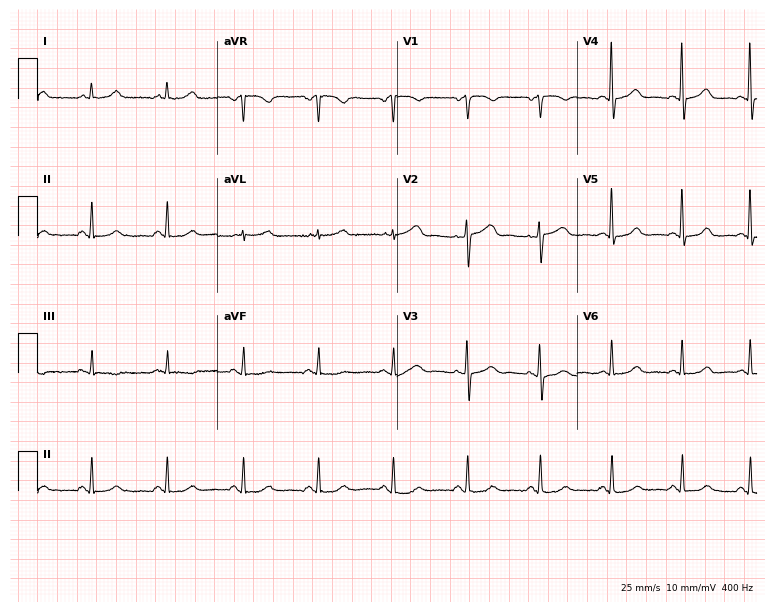
Standard 12-lead ECG recorded from a female patient, 53 years old (7.3-second recording at 400 Hz). None of these six findings is recorded: first-degree AV block, right bundle branch block, left bundle branch block, sinus bradycardia, atrial fibrillation, sinus tachycardia.